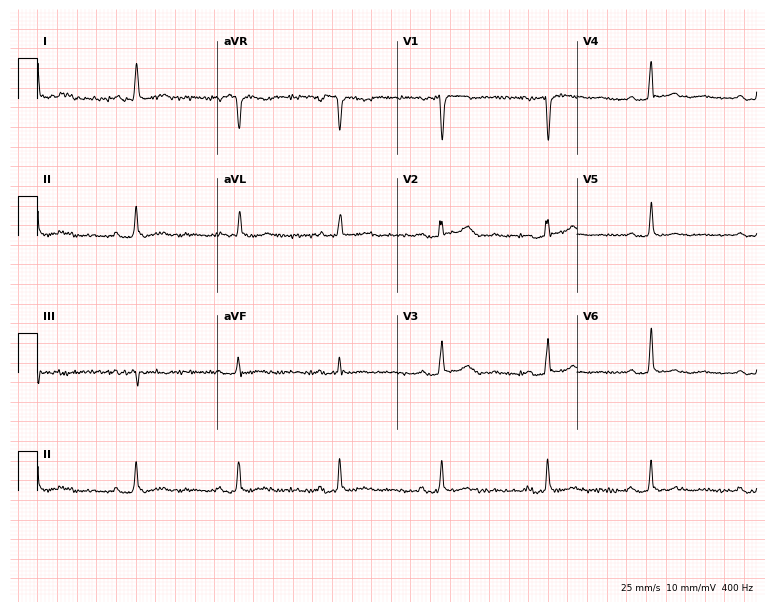
Standard 12-lead ECG recorded from a woman, 55 years old (7.3-second recording at 400 Hz). The tracing shows first-degree AV block.